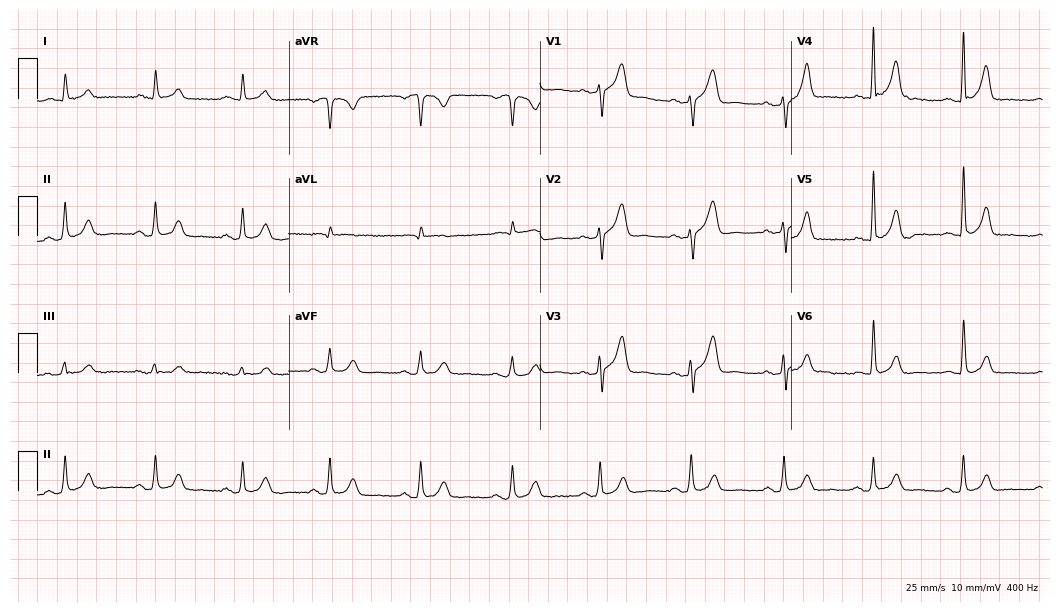
Electrocardiogram (10.2-second recording at 400 Hz), a male patient, 65 years old. Of the six screened findings (first-degree AV block, right bundle branch block (RBBB), left bundle branch block (LBBB), sinus bradycardia, atrial fibrillation (AF), sinus tachycardia), none is recorded. Other findings, if any, are not listed.